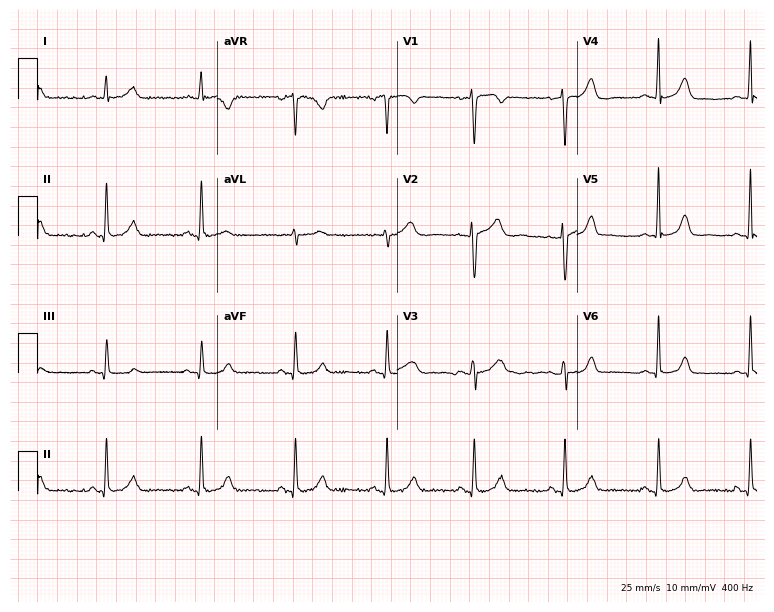
12-lead ECG (7.3-second recording at 400 Hz) from a woman, 40 years old. Labelled as a normal ECG.